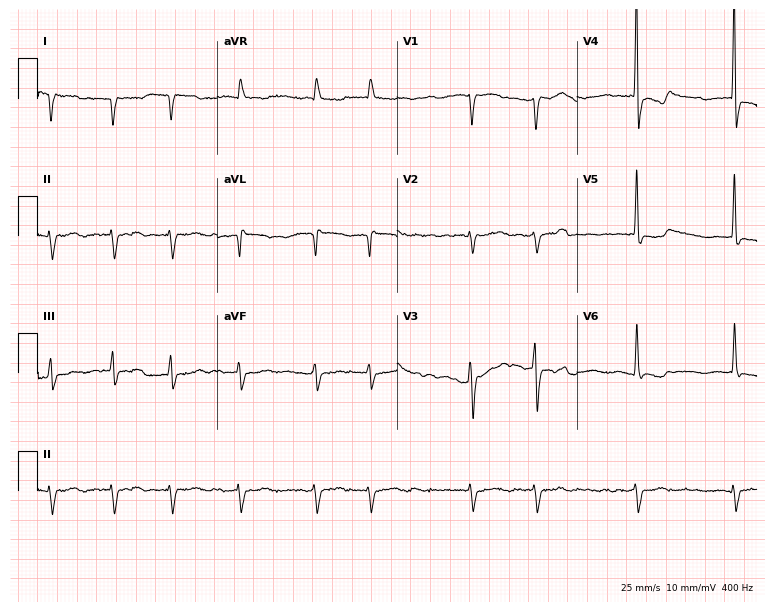
Electrocardiogram (7.3-second recording at 400 Hz), an 85-year-old woman. Of the six screened findings (first-degree AV block, right bundle branch block, left bundle branch block, sinus bradycardia, atrial fibrillation, sinus tachycardia), none is recorded. Findings outside these six are not listed.